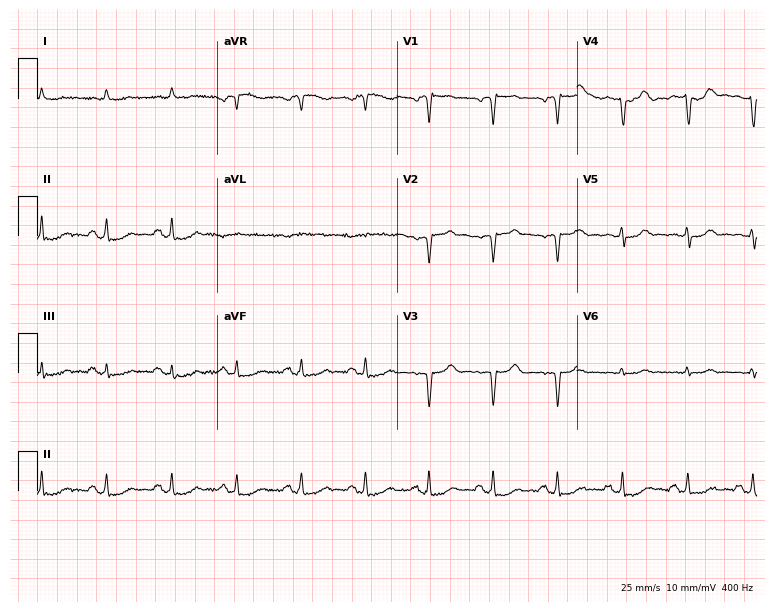
Resting 12-lead electrocardiogram. Patient: a man, 82 years old. None of these six findings is recorded: first-degree AV block, right bundle branch block (RBBB), left bundle branch block (LBBB), sinus bradycardia, atrial fibrillation (AF), sinus tachycardia. Other findings, if any, are not listed.